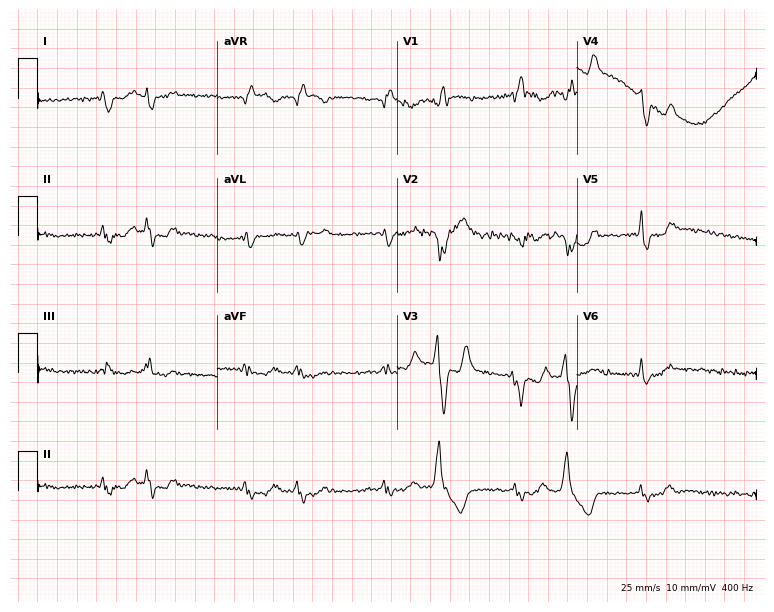
Resting 12-lead electrocardiogram (7.3-second recording at 400 Hz). Patient: a man, 83 years old. None of these six findings is recorded: first-degree AV block, right bundle branch block, left bundle branch block, sinus bradycardia, atrial fibrillation, sinus tachycardia.